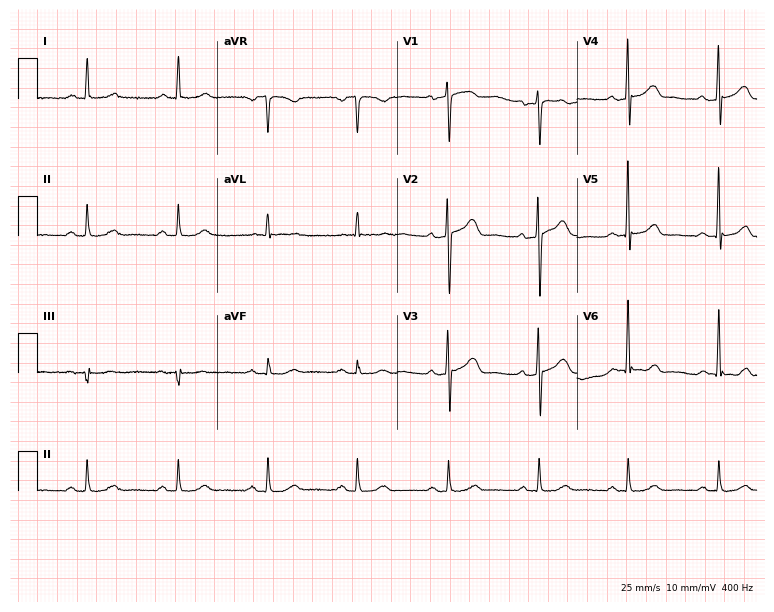
Electrocardiogram (7.3-second recording at 400 Hz), a 67-year-old male patient. Overall reading on record: normal ECG.